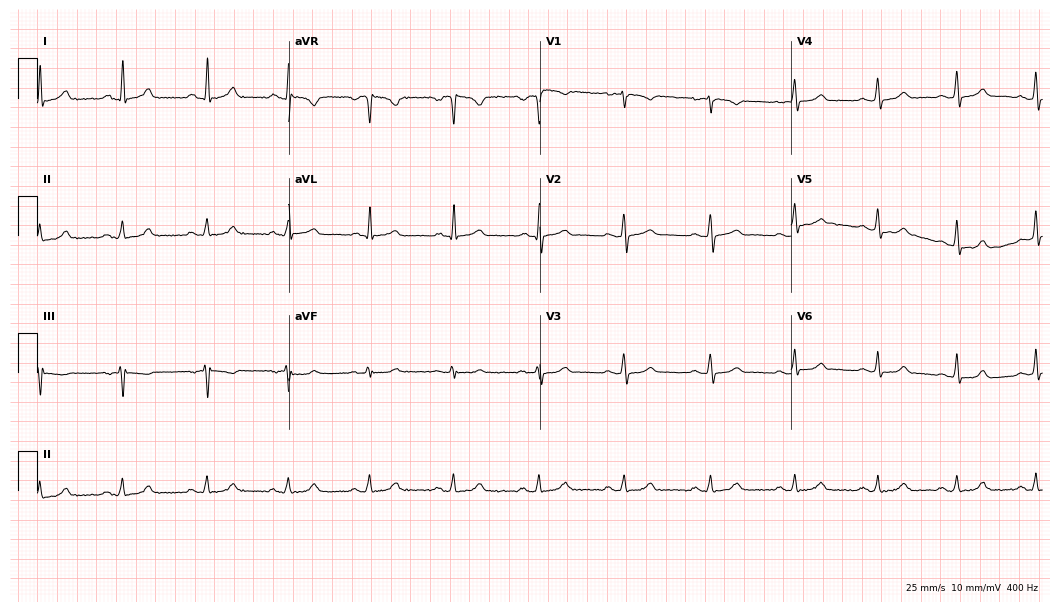
Resting 12-lead electrocardiogram. Patient: a 37-year-old woman. Read as a normal ECG.